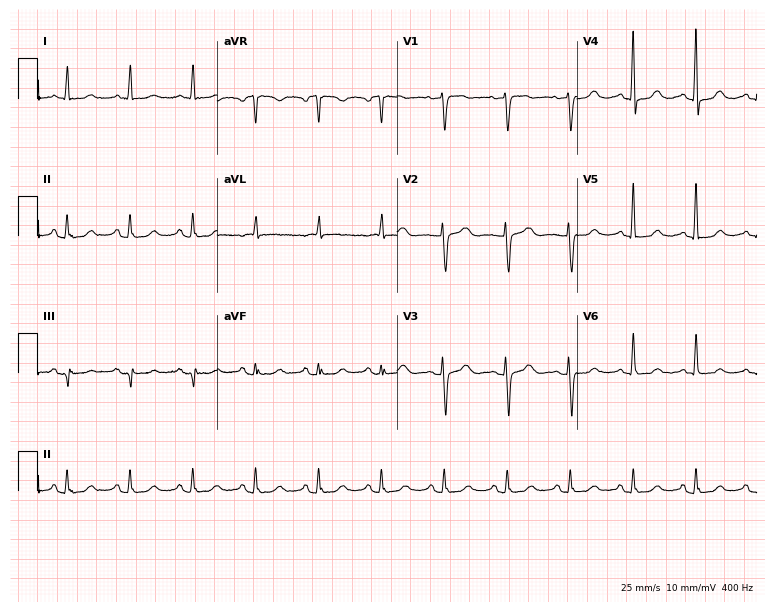
12-lead ECG from an 81-year-old female (7.3-second recording at 400 Hz). Recorded interpretation: within normal limits.